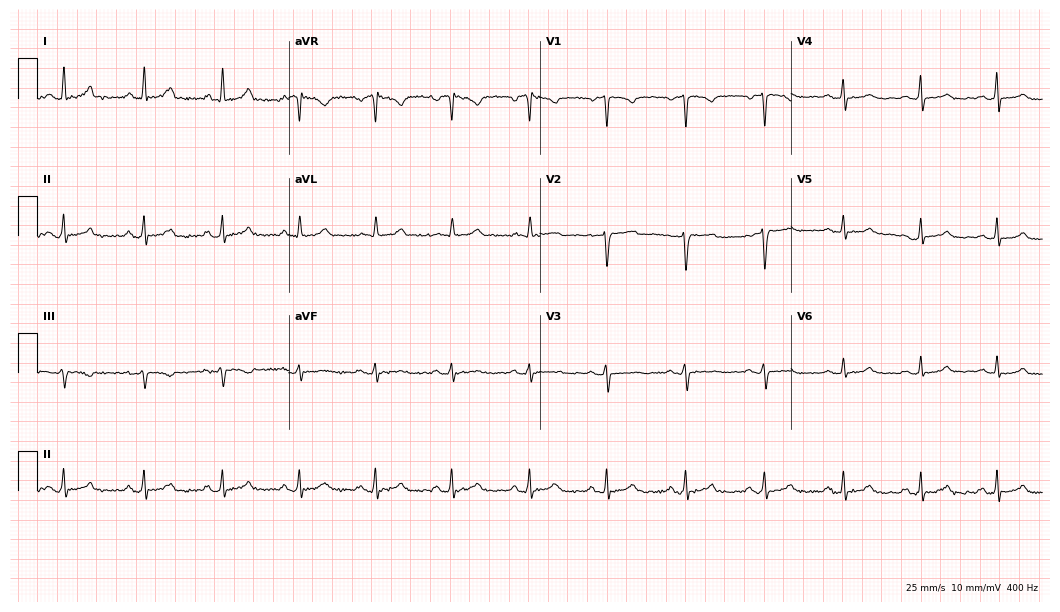
Resting 12-lead electrocardiogram (10.2-second recording at 400 Hz). Patient: a female, 50 years old. Read as a normal ECG.